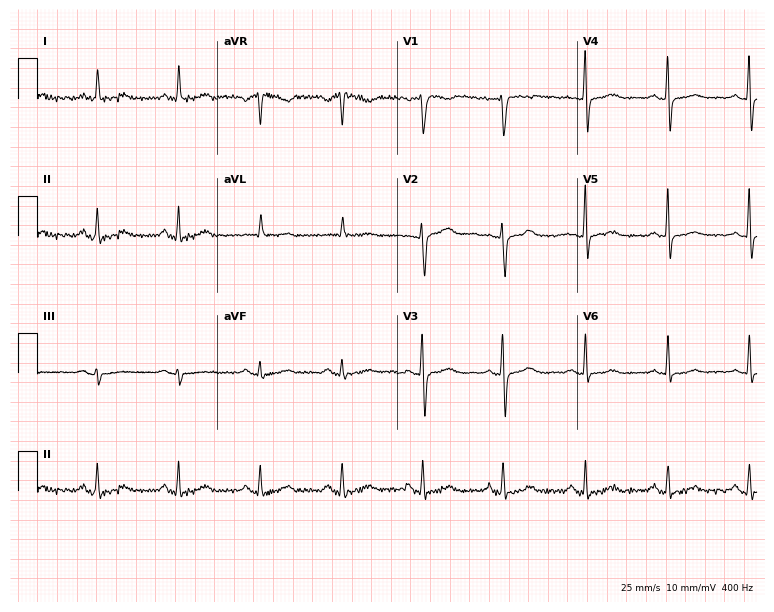
12-lead ECG from a 54-year-old female patient. No first-degree AV block, right bundle branch block, left bundle branch block, sinus bradycardia, atrial fibrillation or sinus tachycardia recorded for this tracing. Findings outside these six are not listed.